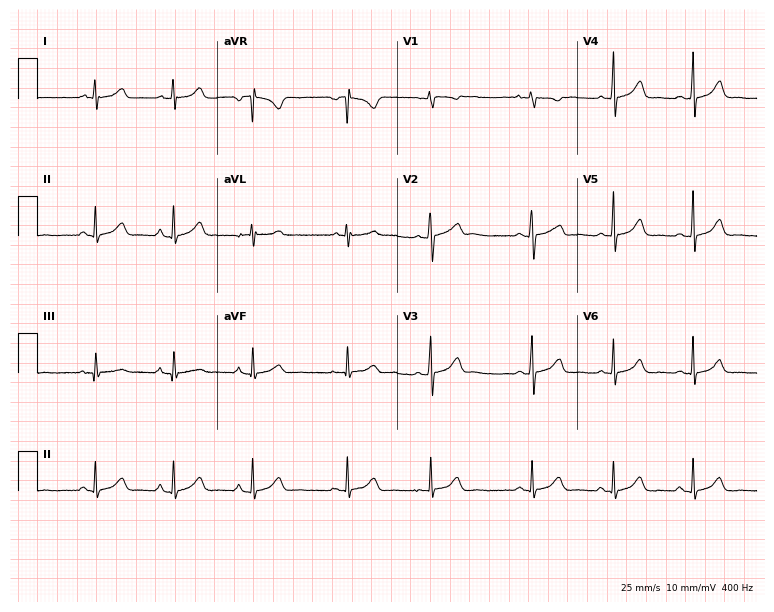
ECG (7.3-second recording at 400 Hz) — a 23-year-old female patient. Labelled as a normal ECG.